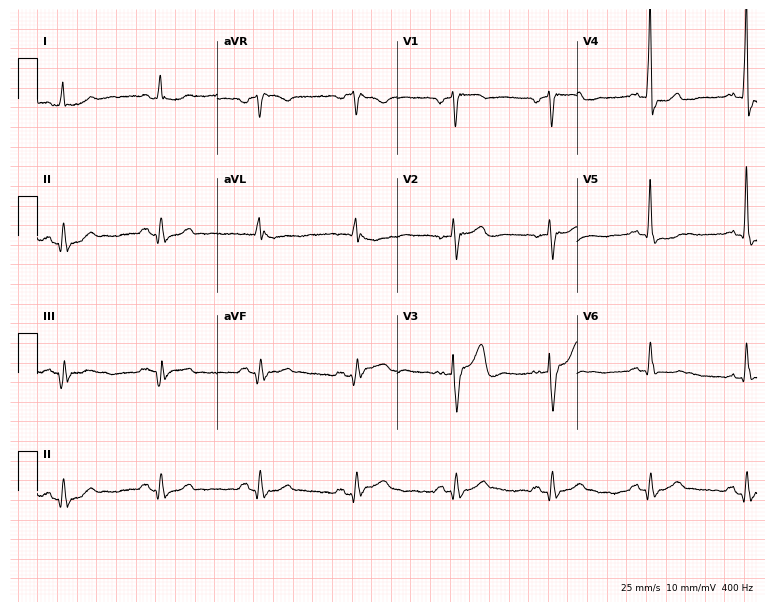
12-lead ECG from a male patient, 69 years old. No first-degree AV block, right bundle branch block (RBBB), left bundle branch block (LBBB), sinus bradycardia, atrial fibrillation (AF) or sinus tachycardia recorded for this tracing.